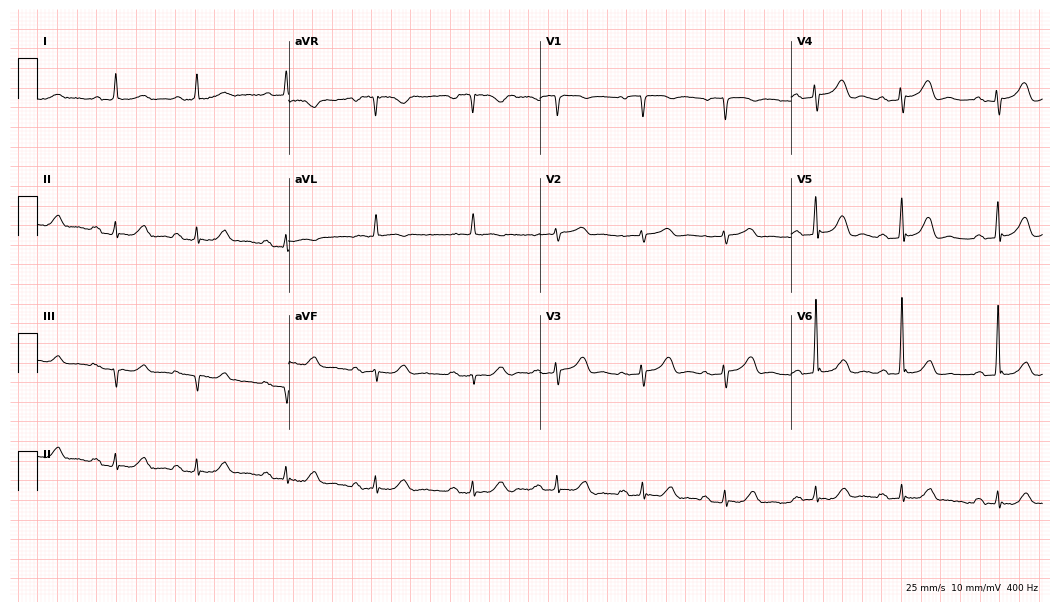
Standard 12-lead ECG recorded from a female patient, 76 years old (10.2-second recording at 400 Hz). The tracing shows first-degree AV block.